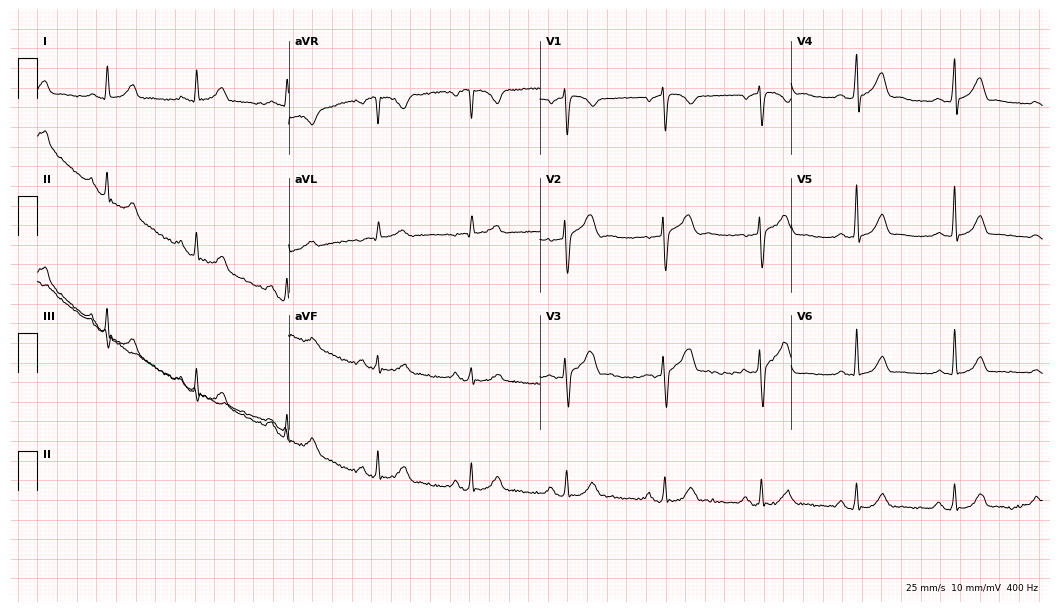
ECG (10.2-second recording at 400 Hz) — a male patient, 37 years old. Labelled as a normal ECG.